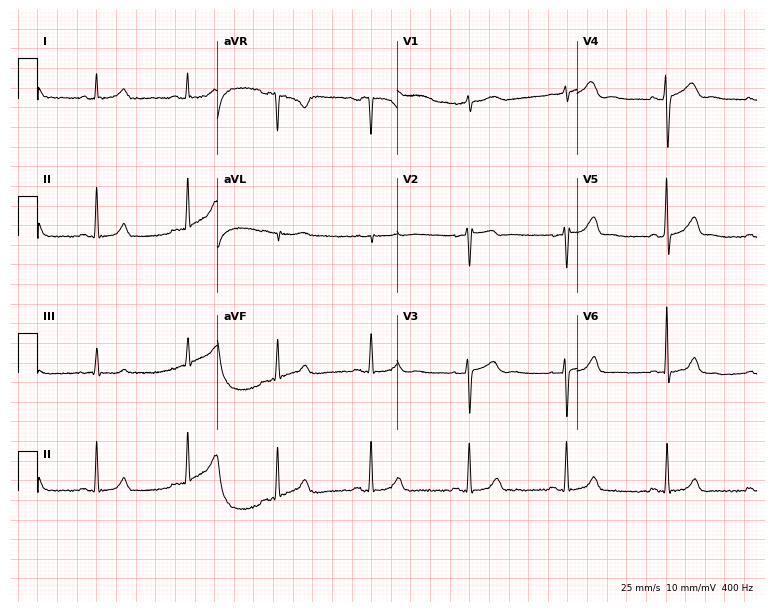
Standard 12-lead ECG recorded from a female patient, 43 years old. Read as a normal ECG.